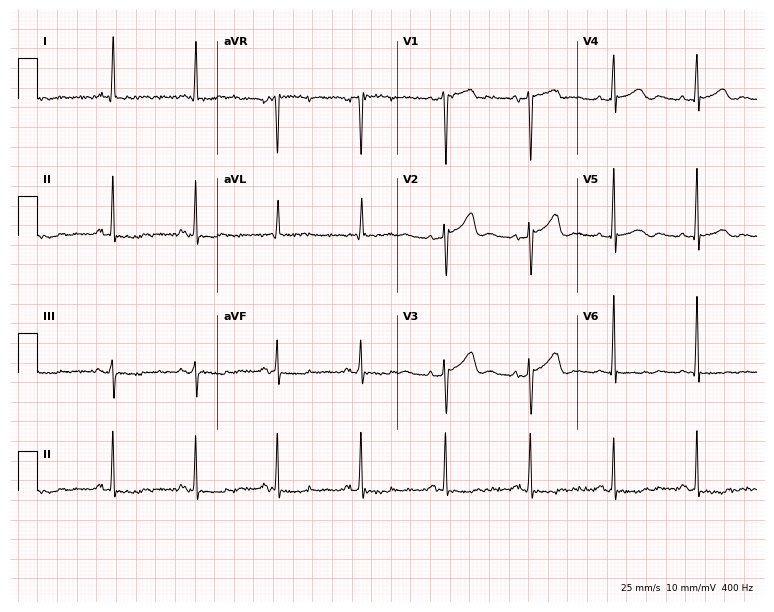
12-lead ECG from a 74-year-old female (7.3-second recording at 400 Hz). No first-degree AV block, right bundle branch block, left bundle branch block, sinus bradycardia, atrial fibrillation or sinus tachycardia recorded for this tracing.